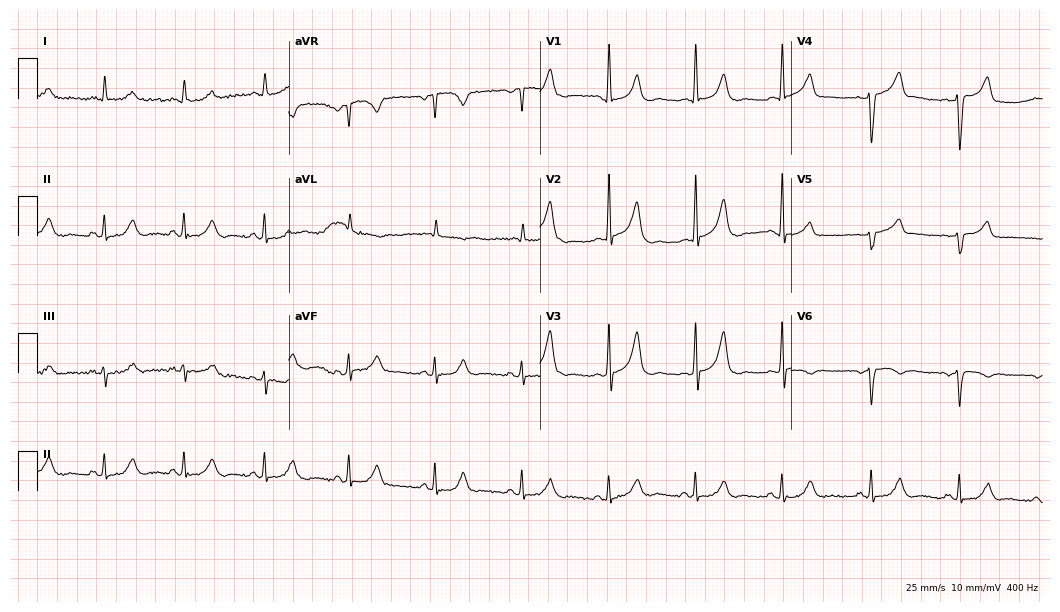
12-lead ECG (10.2-second recording at 400 Hz) from an 82-year-old woman. Labelled as a normal ECG.